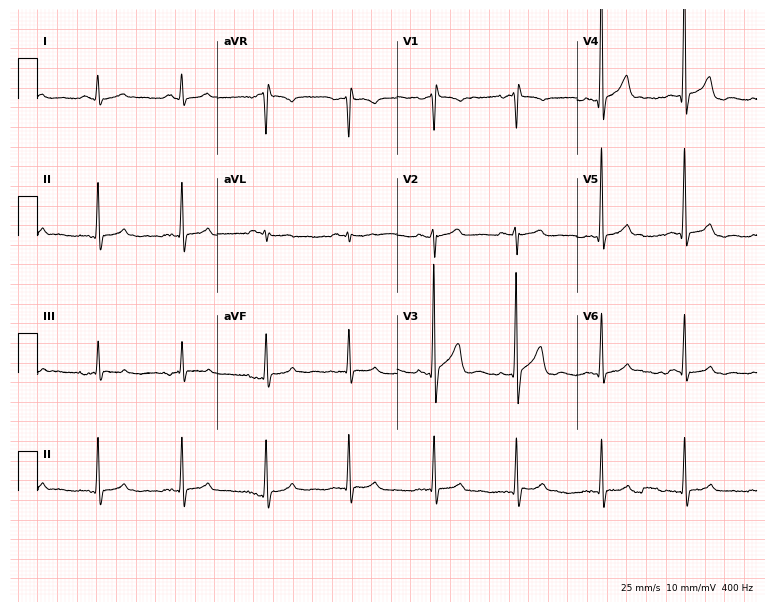
12-lead ECG from a 62-year-old male patient (7.3-second recording at 400 Hz). Recorded interpretation: within normal limits.